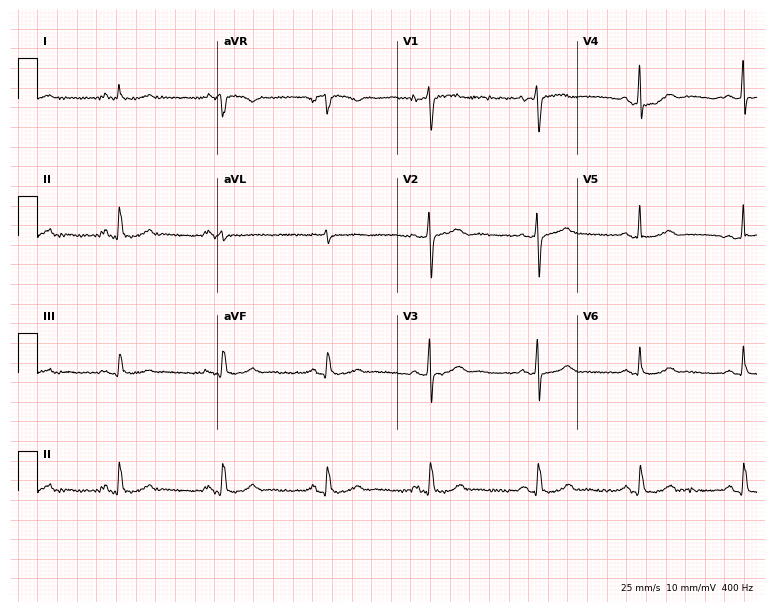
Standard 12-lead ECG recorded from a male patient, 72 years old (7.3-second recording at 400 Hz). Read as a normal ECG.